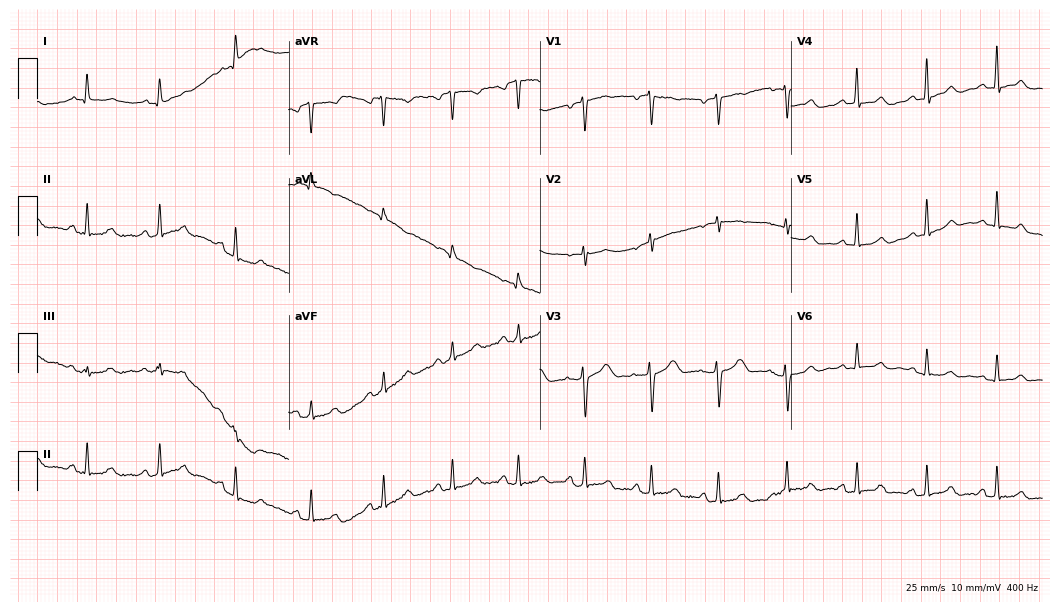
Electrocardiogram, a female, 38 years old. Of the six screened findings (first-degree AV block, right bundle branch block, left bundle branch block, sinus bradycardia, atrial fibrillation, sinus tachycardia), none is recorded.